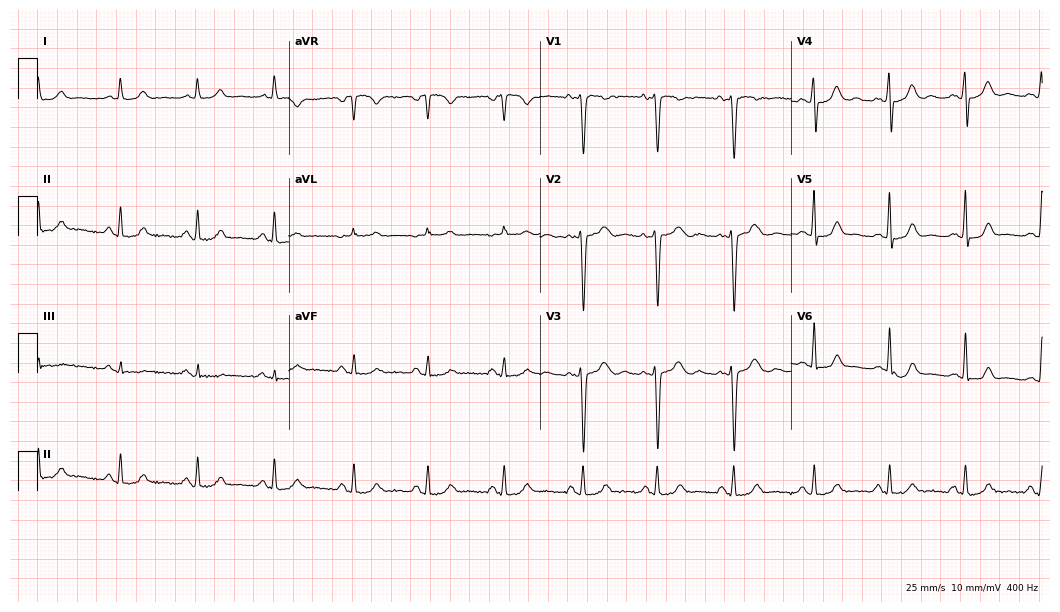
Electrocardiogram (10.2-second recording at 400 Hz), a 25-year-old female patient. Overall reading on record: normal ECG.